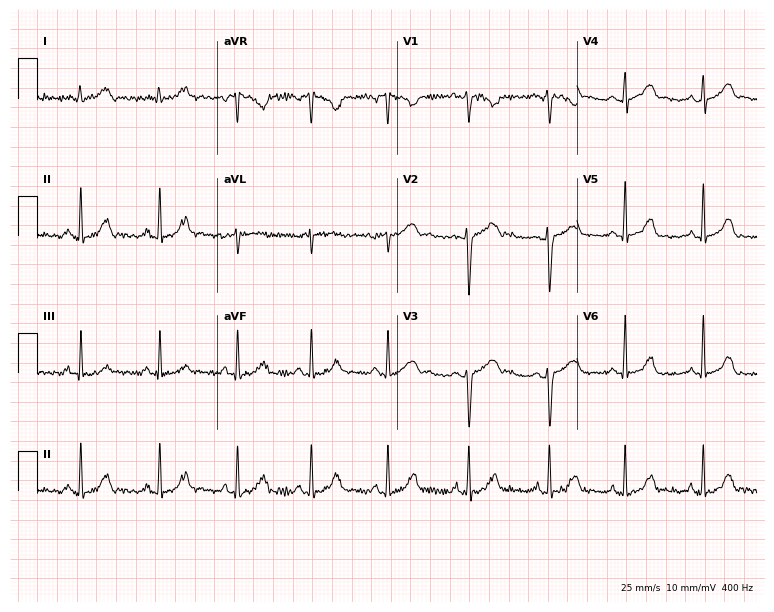
Resting 12-lead electrocardiogram. Patient: a female, 18 years old. Read as a normal ECG.